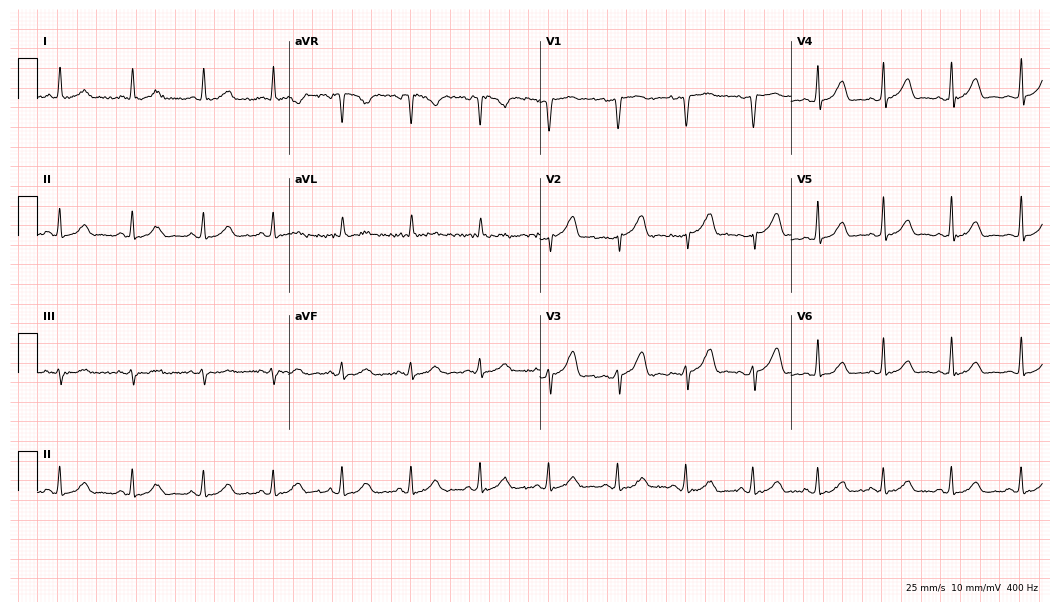
Electrocardiogram, a 39-year-old female. Overall reading on record: normal ECG.